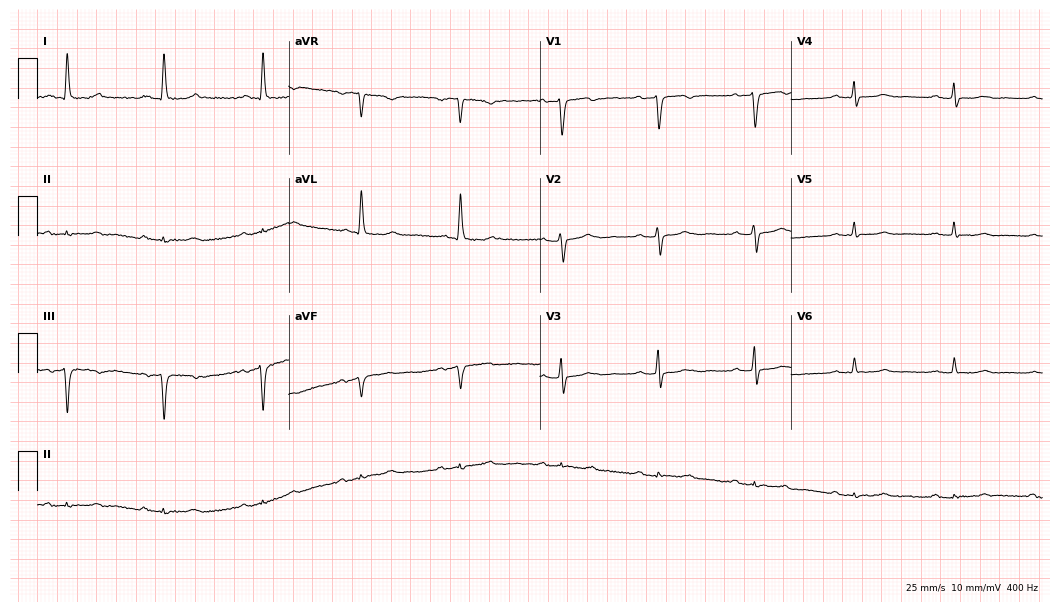
Resting 12-lead electrocardiogram. Patient: a female, 65 years old. None of these six findings is recorded: first-degree AV block, right bundle branch block, left bundle branch block, sinus bradycardia, atrial fibrillation, sinus tachycardia. Findings outside these six are not listed.